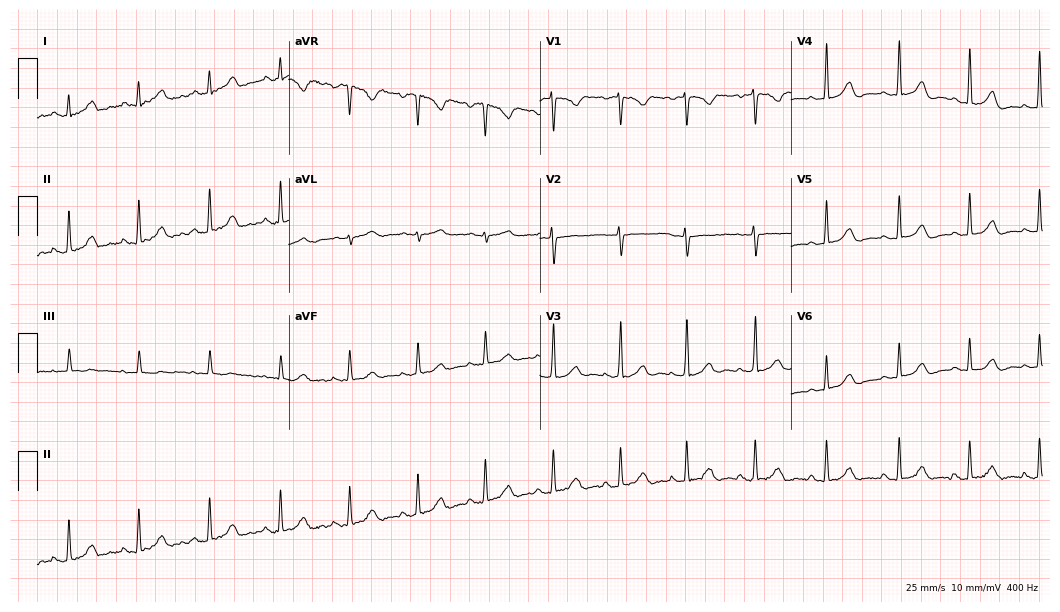
Standard 12-lead ECG recorded from a woman, 19 years old. Read as a normal ECG.